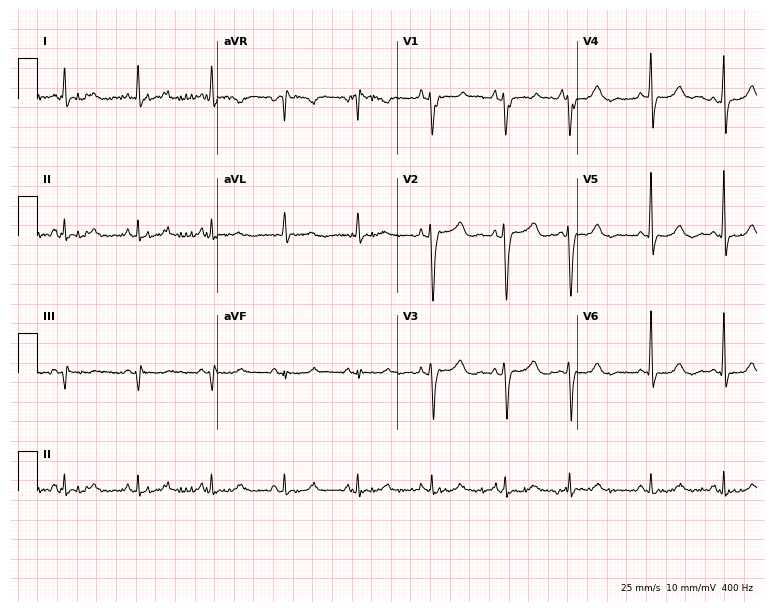
12-lead ECG from a 71-year-old man. Screened for six findings — first-degree AV block, right bundle branch block, left bundle branch block, sinus bradycardia, atrial fibrillation, sinus tachycardia — none is recorded. Findings outside these six are not listed.